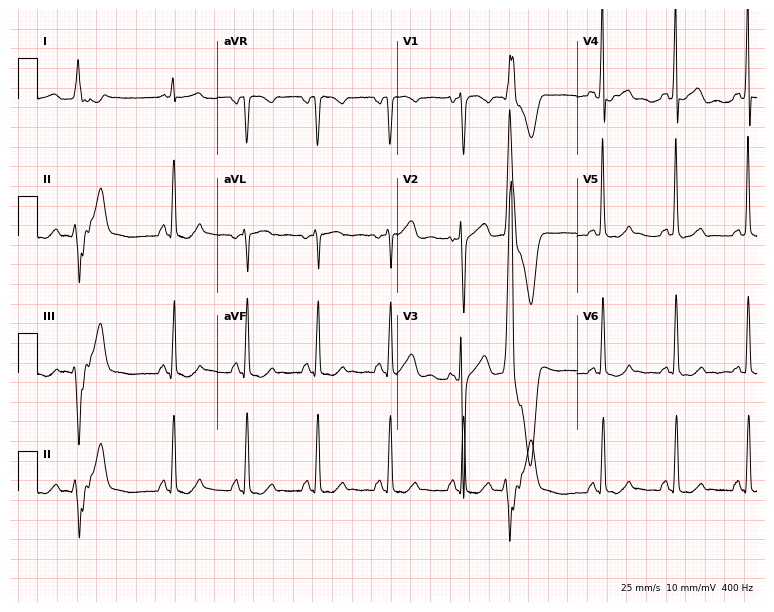
Resting 12-lead electrocardiogram (7.3-second recording at 400 Hz). Patient: a 71-year-old woman. Read as a normal ECG.